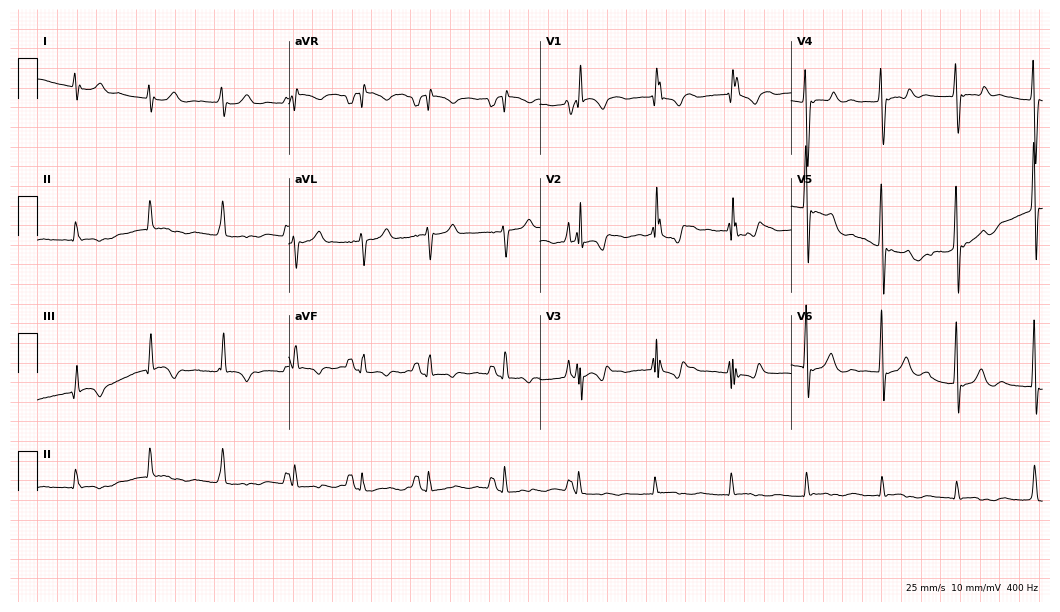
12-lead ECG from a 33-year-old male patient. Screened for six findings — first-degree AV block, right bundle branch block, left bundle branch block, sinus bradycardia, atrial fibrillation, sinus tachycardia — none is recorded. Other findings, if any, are not listed.